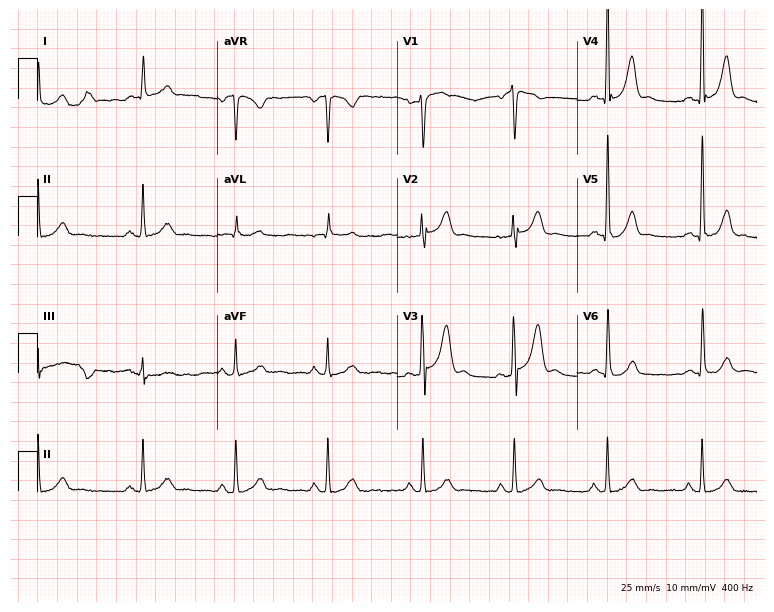
12-lead ECG from a 44-year-old male patient. Labelled as a normal ECG.